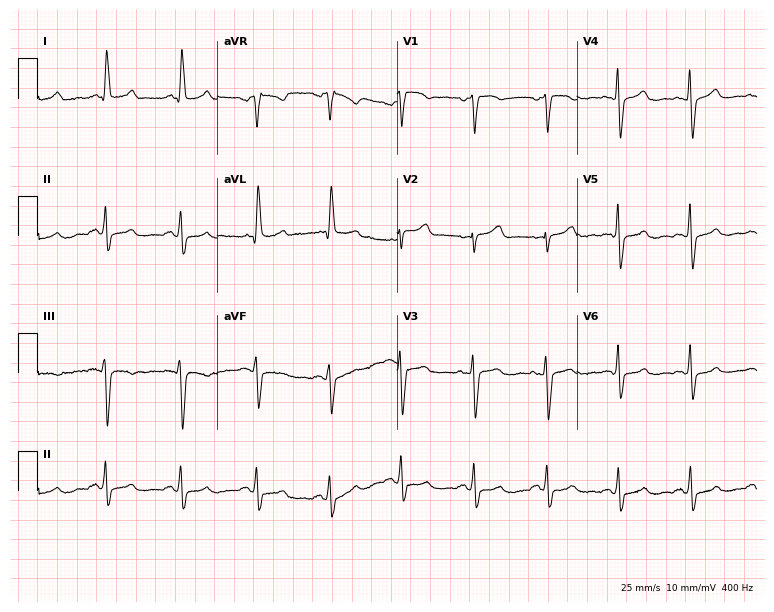
Standard 12-lead ECG recorded from a 46-year-old woman. None of these six findings is recorded: first-degree AV block, right bundle branch block, left bundle branch block, sinus bradycardia, atrial fibrillation, sinus tachycardia. Only these six findings were labelled.